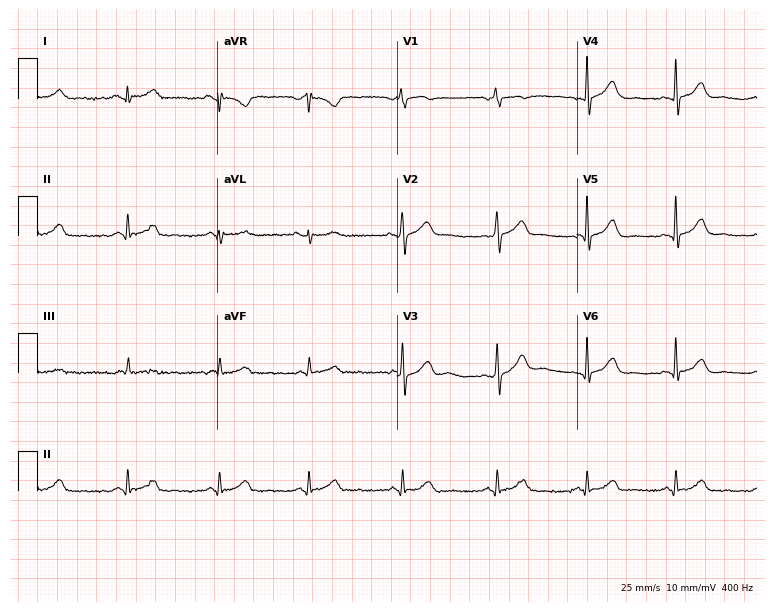
ECG (7.3-second recording at 400 Hz) — a 76-year-old man. Labelled as a normal ECG.